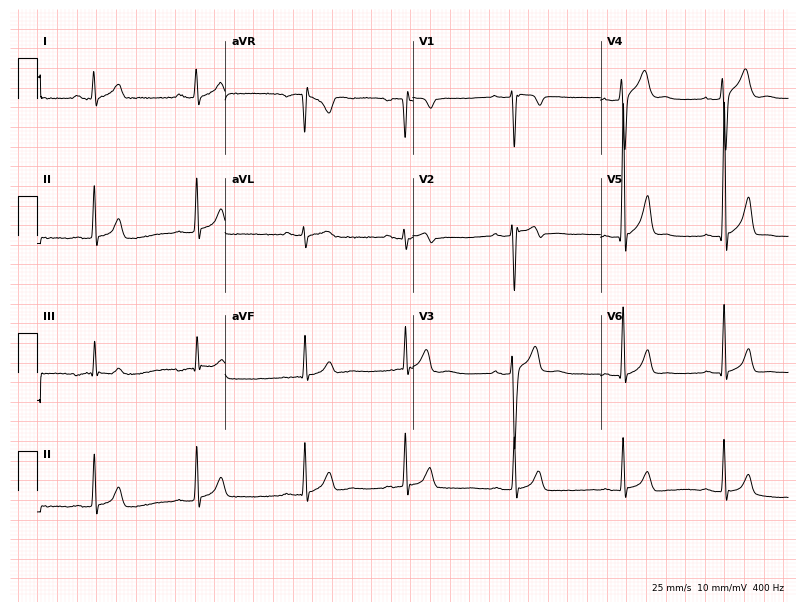
Resting 12-lead electrocardiogram (7.7-second recording at 400 Hz). Patient: a 26-year-old male. None of these six findings is recorded: first-degree AV block, right bundle branch block, left bundle branch block, sinus bradycardia, atrial fibrillation, sinus tachycardia.